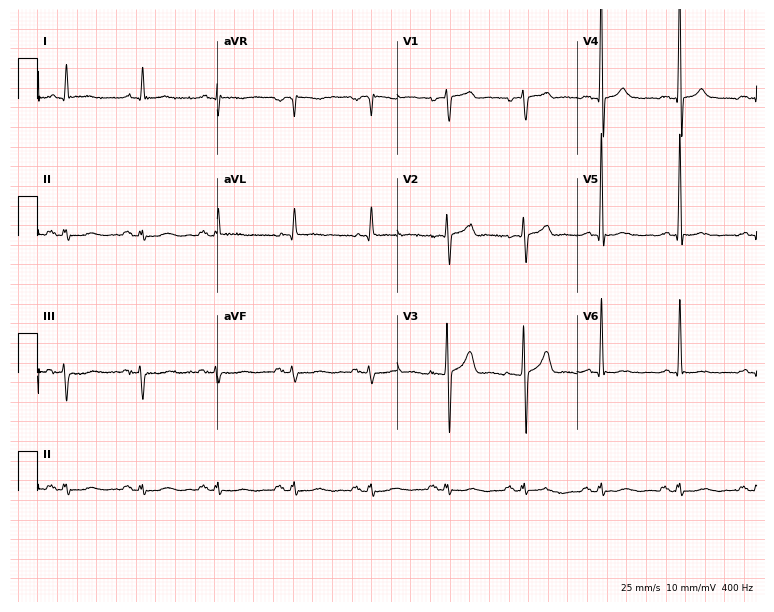
ECG — a 69-year-old male. Screened for six findings — first-degree AV block, right bundle branch block (RBBB), left bundle branch block (LBBB), sinus bradycardia, atrial fibrillation (AF), sinus tachycardia — none is recorded.